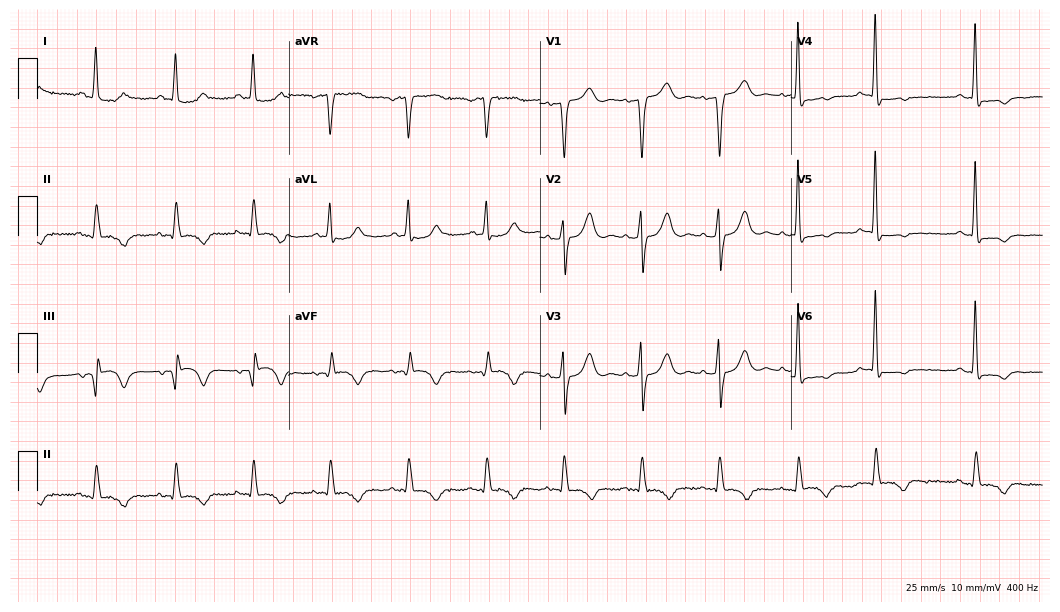
ECG — an 85-year-old man. Screened for six findings — first-degree AV block, right bundle branch block (RBBB), left bundle branch block (LBBB), sinus bradycardia, atrial fibrillation (AF), sinus tachycardia — none is recorded. Findings outside these six are not listed.